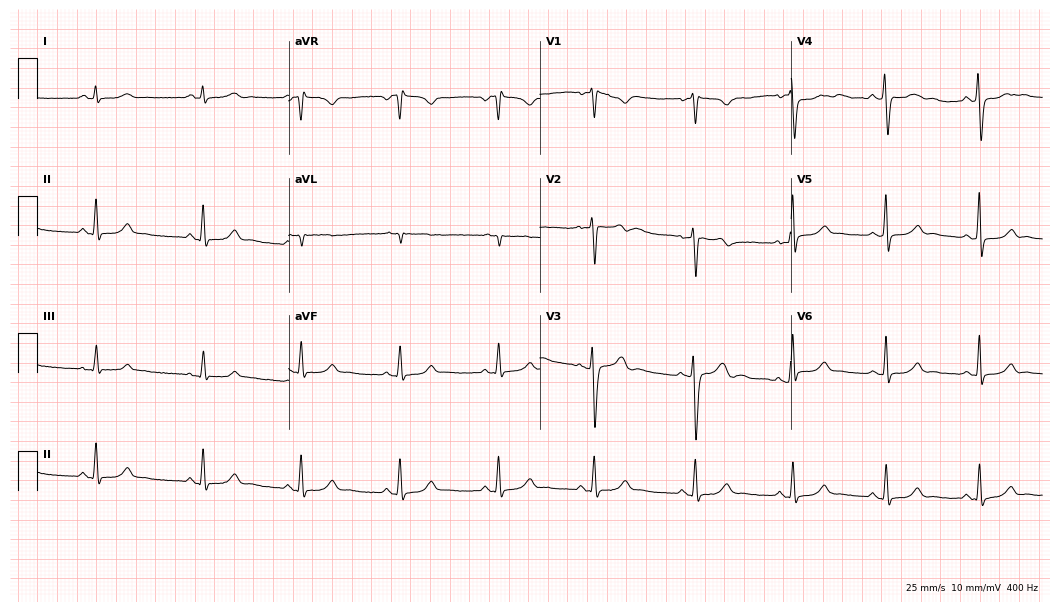
12-lead ECG from a 31-year-old woman. Labelled as a normal ECG.